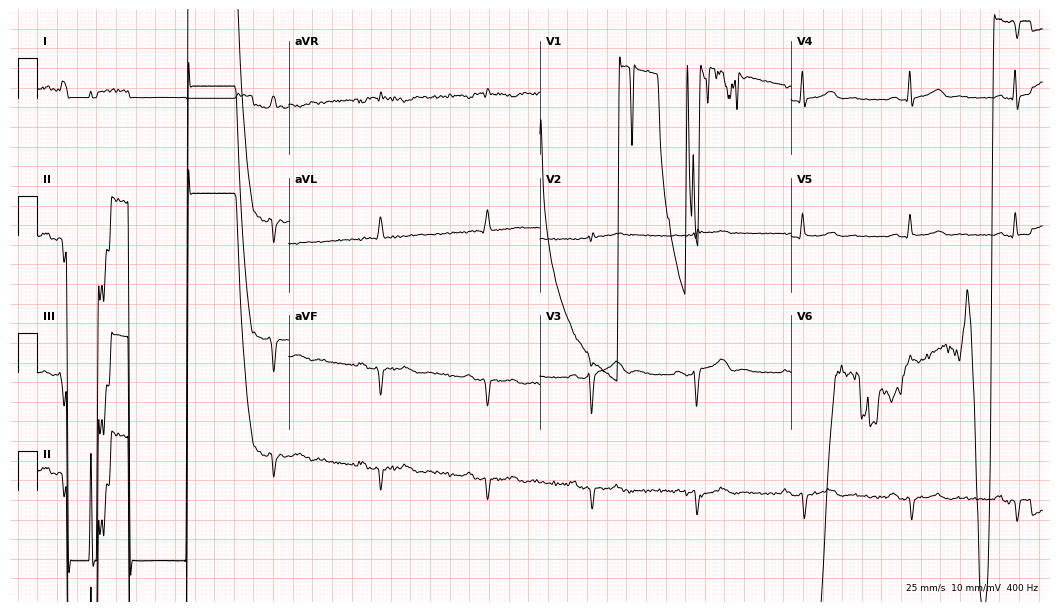
12-lead ECG from a 67-year-old male. Findings include atrial fibrillation.